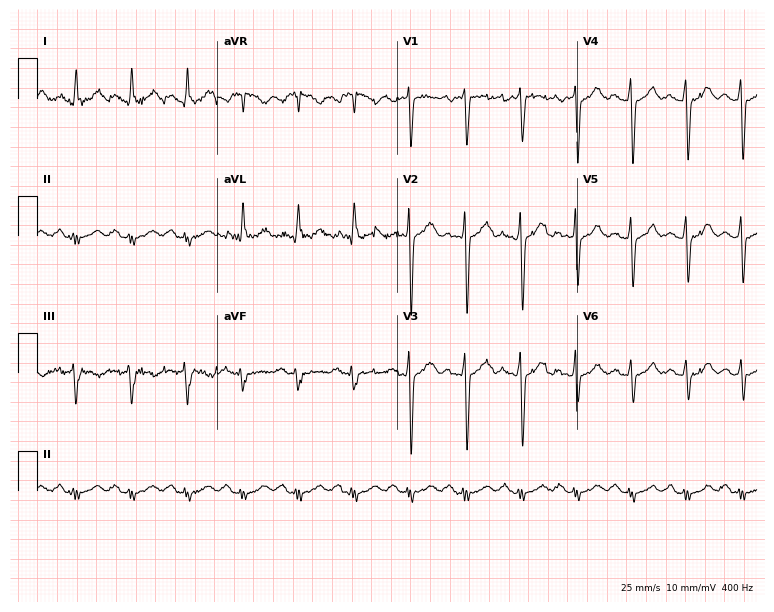
ECG (7.3-second recording at 400 Hz) — a 78-year-old man. Findings include sinus tachycardia (a sinus rate of 100 beats per minute or more).